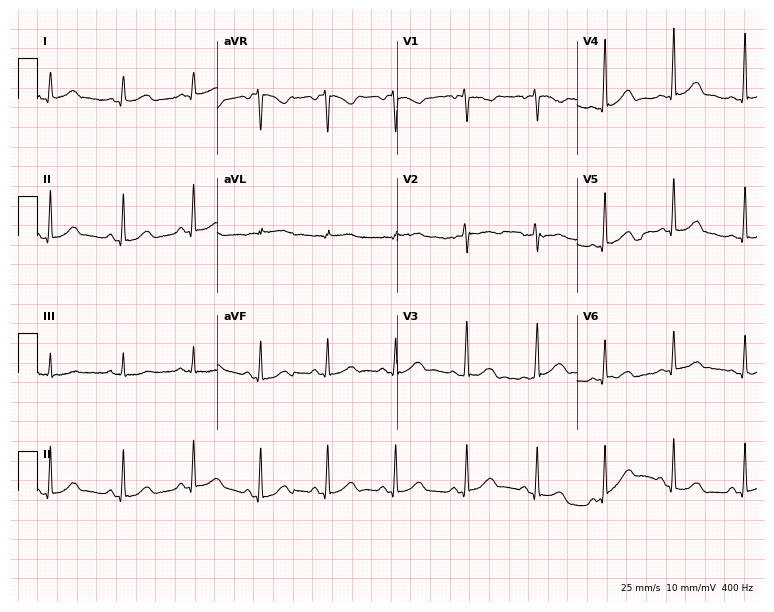
Standard 12-lead ECG recorded from a woman, 39 years old. Read as a normal ECG.